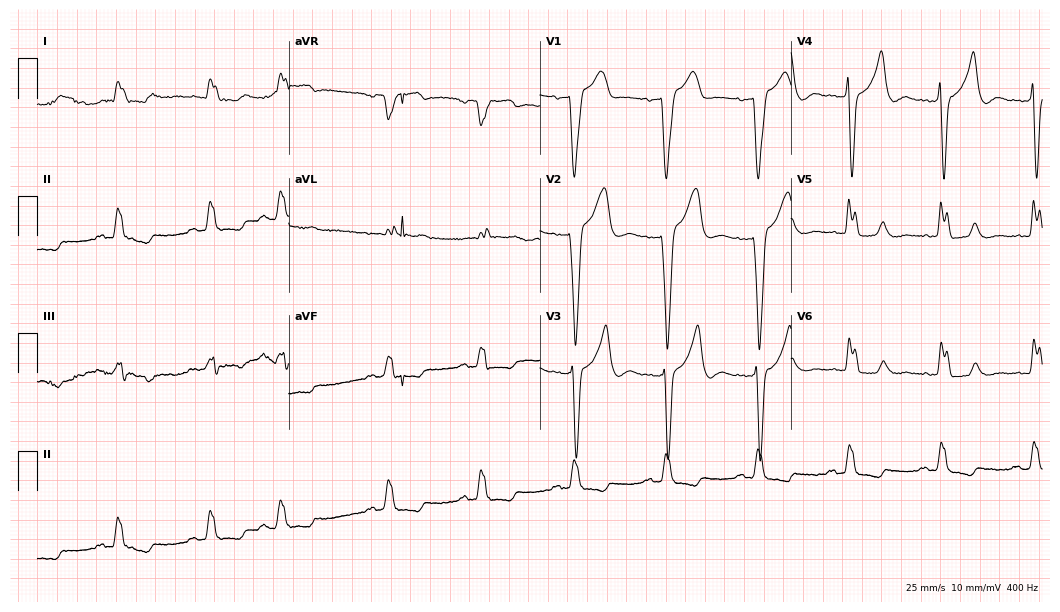
Standard 12-lead ECG recorded from a male, 73 years old. The tracing shows left bundle branch block (LBBB).